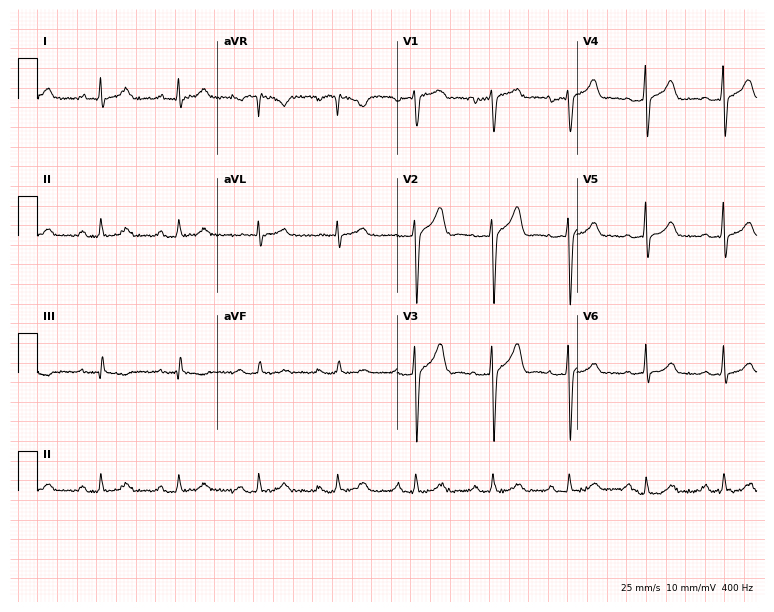
12-lead ECG from a 49-year-old male patient (7.3-second recording at 400 Hz). Shows first-degree AV block.